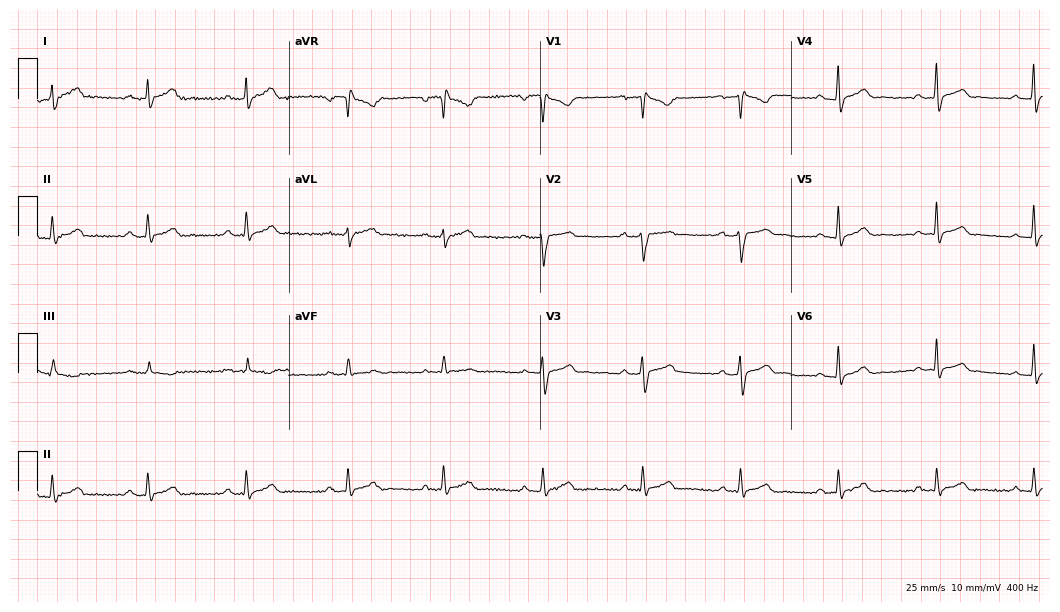
12-lead ECG from a 48-year-old man (10.2-second recording at 400 Hz). Recorded interpretation: within normal limits.